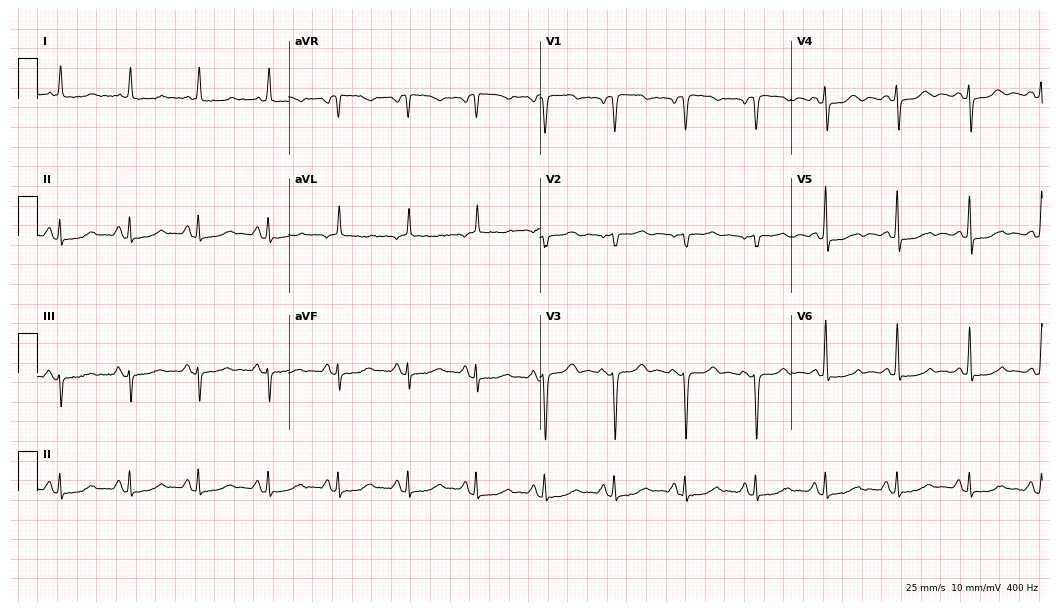
Standard 12-lead ECG recorded from an 81-year-old woman. Read as a normal ECG.